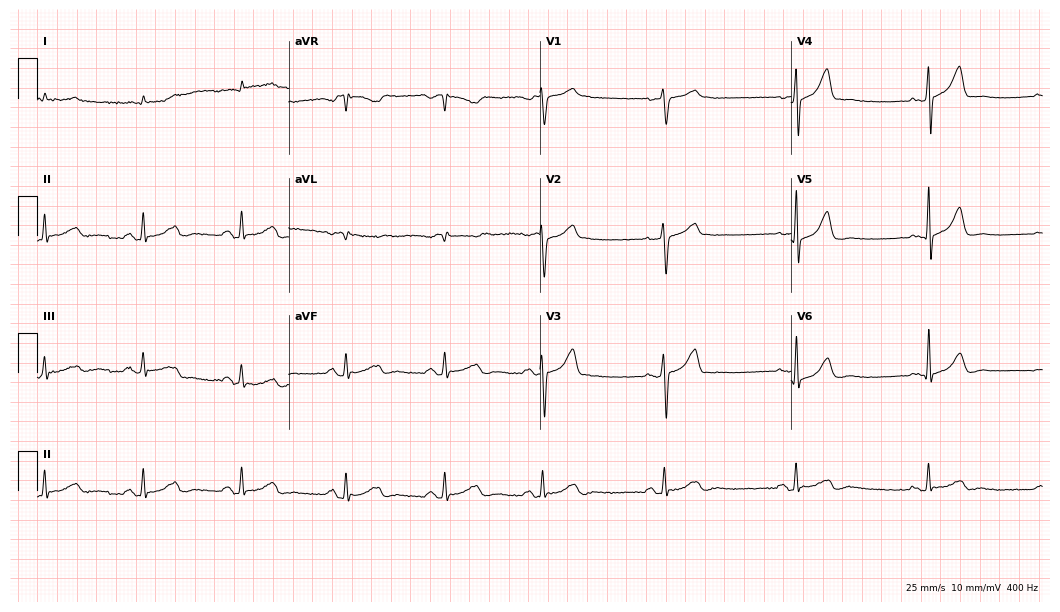
12-lead ECG (10.2-second recording at 400 Hz) from a male patient, 65 years old. Screened for six findings — first-degree AV block, right bundle branch block, left bundle branch block, sinus bradycardia, atrial fibrillation, sinus tachycardia — none is recorded.